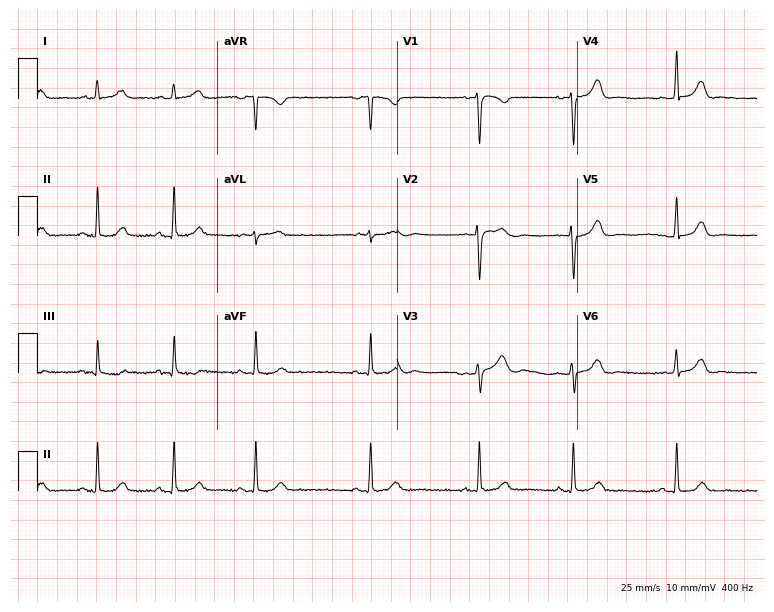
12-lead ECG (7.3-second recording at 400 Hz) from a 27-year-old female patient. Labelled as a normal ECG.